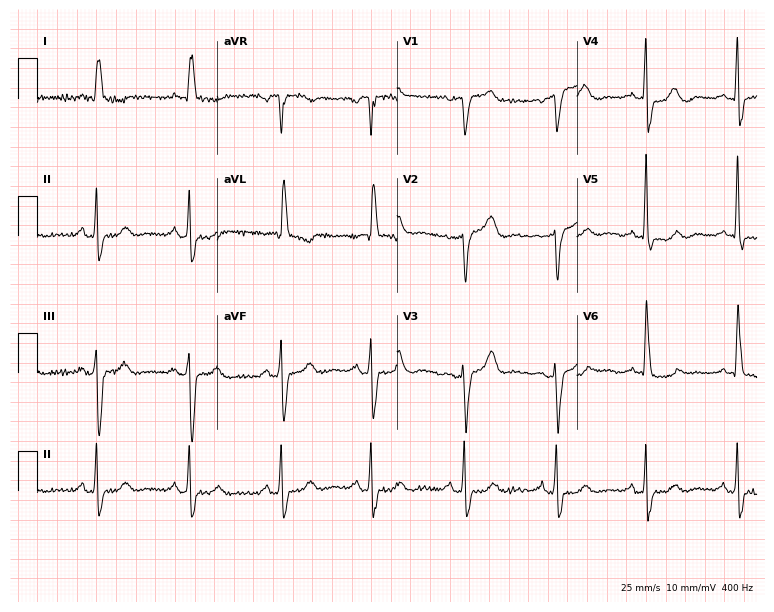
Electrocardiogram, a female patient, 77 years old. Of the six screened findings (first-degree AV block, right bundle branch block (RBBB), left bundle branch block (LBBB), sinus bradycardia, atrial fibrillation (AF), sinus tachycardia), none is recorded. Other findings, if any, are not listed.